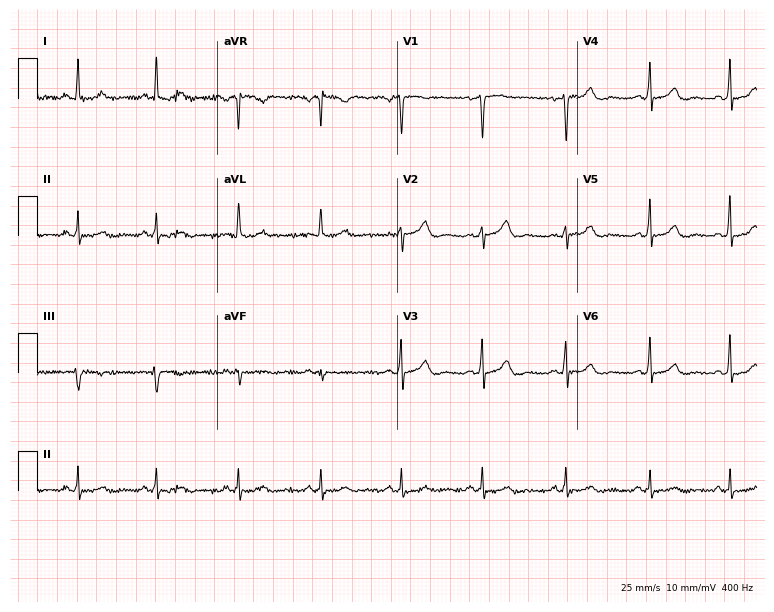
12-lead ECG from a female patient, 34 years old. No first-degree AV block, right bundle branch block, left bundle branch block, sinus bradycardia, atrial fibrillation or sinus tachycardia recorded for this tracing.